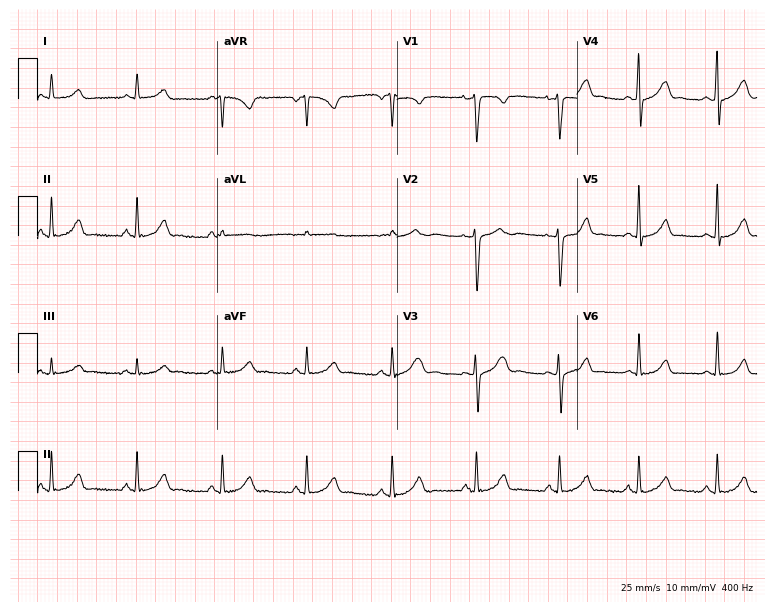
12-lead ECG (7.3-second recording at 400 Hz) from a female, 31 years old. Labelled as a normal ECG.